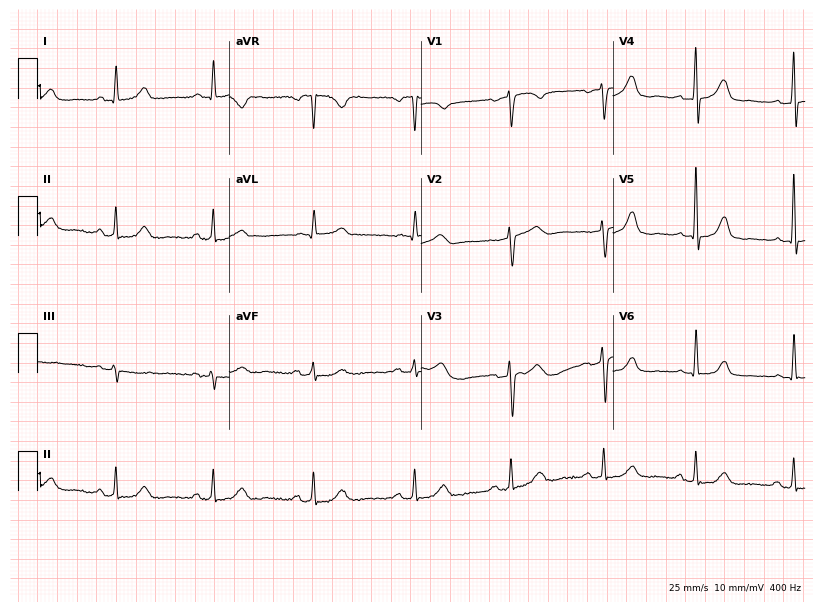
Resting 12-lead electrocardiogram. Patient: a 62-year-old female. None of these six findings is recorded: first-degree AV block, right bundle branch block (RBBB), left bundle branch block (LBBB), sinus bradycardia, atrial fibrillation (AF), sinus tachycardia. Other findings, if any, are not listed.